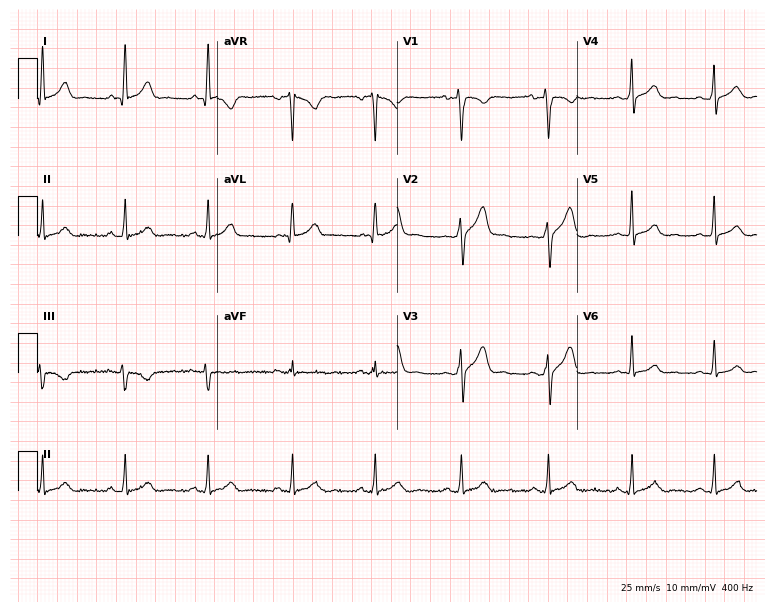
Standard 12-lead ECG recorded from a 32-year-old male patient (7.3-second recording at 400 Hz). Read as a normal ECG.